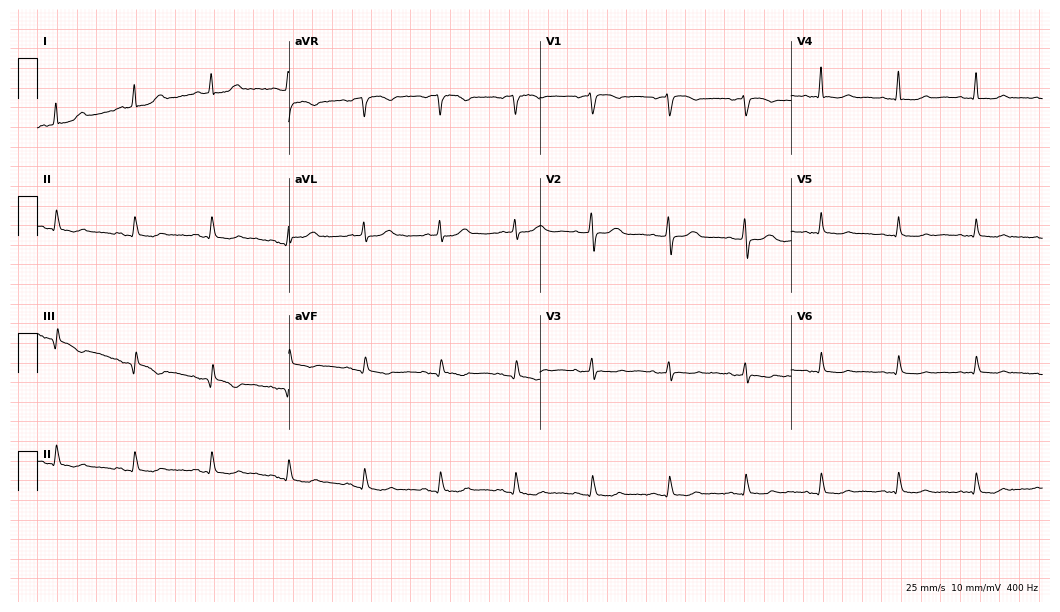
ECG — a woman, 65 years old. Labelled as a normal ECG.